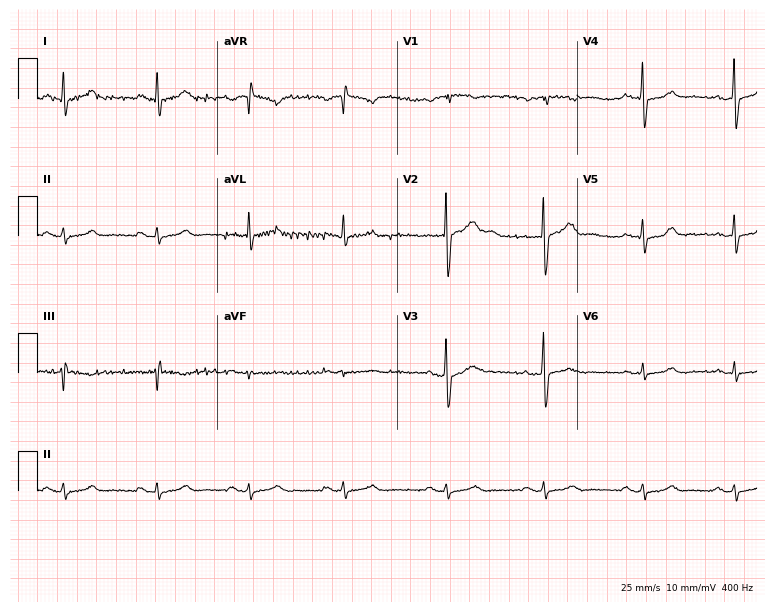
12-lead ECG (7.3-second recording at 400 Hz) from a man, 51 years old. Labelled as a normal ECG.